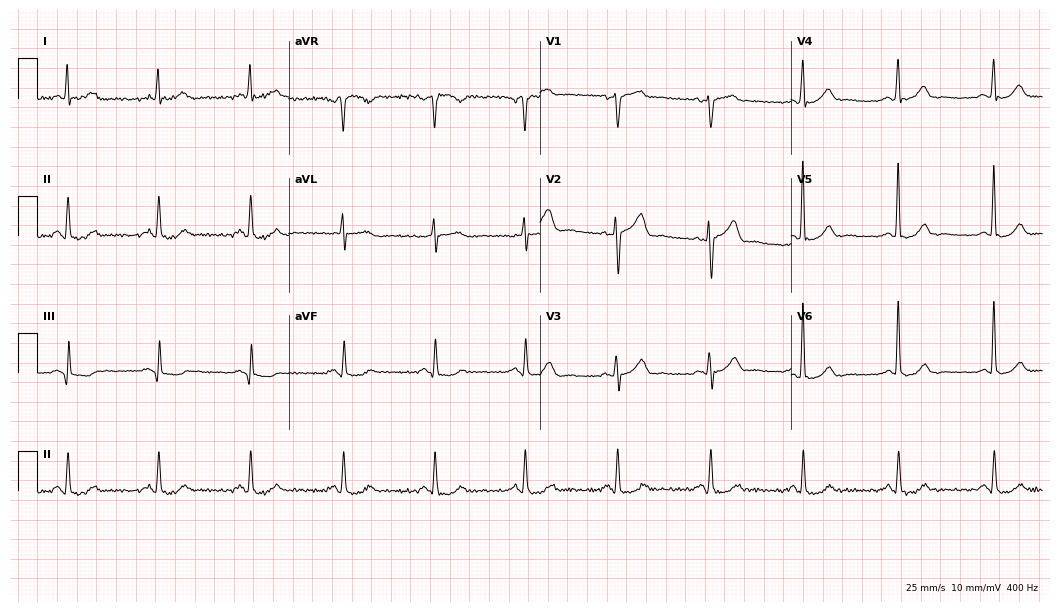
12-lead ECG from a 47-year-old male patient. Labelled as a normal ECG.